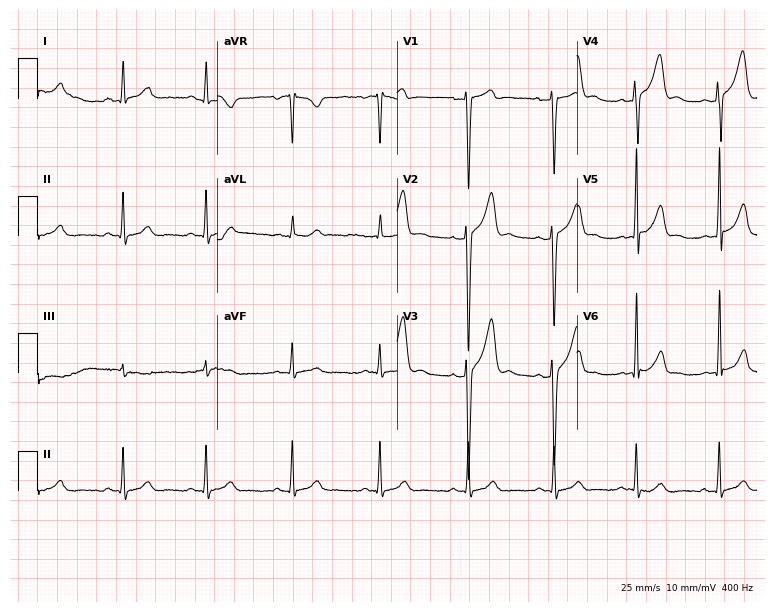
12-lead ECG from a 22-year-old man. Recorded interpretation: within normal limits.